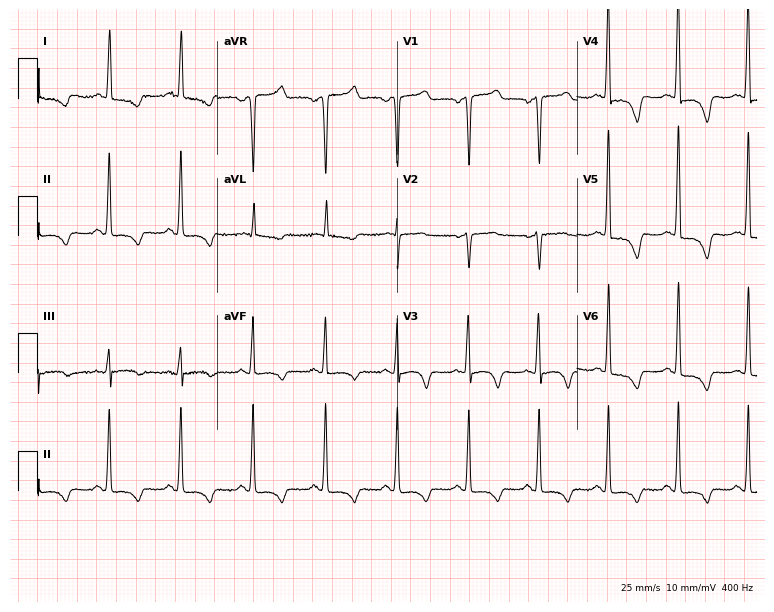
ECG — a female patient, 57 years old. Screened for six findings — first-degree AV block, right bundle branch block, left bundle branch block, sinus bradycardia, atrial fibrillation, sinus tachycardia — none is recorded.